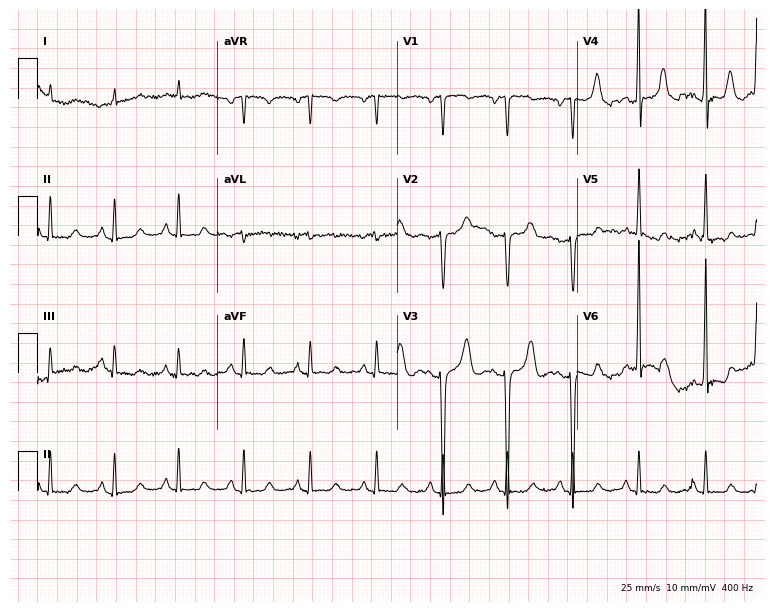
Resting 12-lead electrocardiogram (7.3-second recording at 400 Hz). Patient: a woman, 82 years old. None of these six findings is recorded: first-degree AV block, right bundle branch block, left bundle branch block, sinus bradycardia, atrial fibrillation, sinus tachycardia.